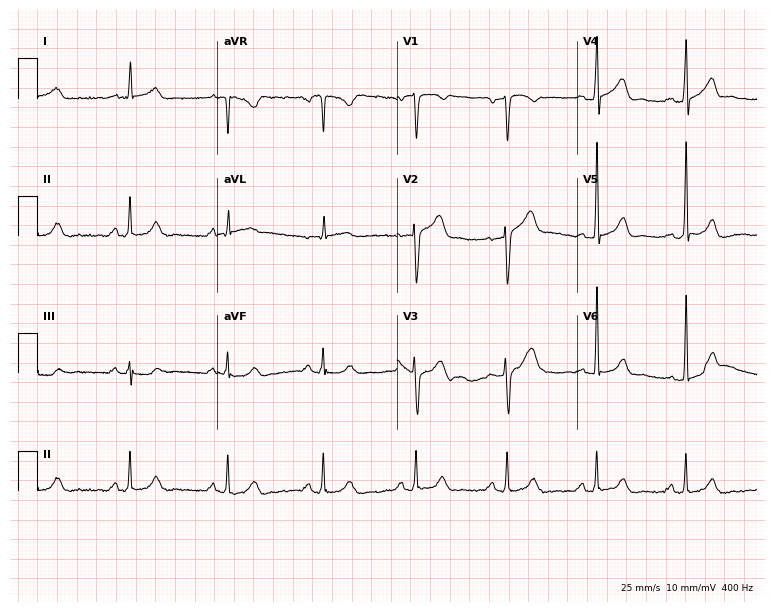
Standard 12-lead ECG recorded from a 36-year-old male (7.3-second recording at 400 Hz). Read as a normal ECG.